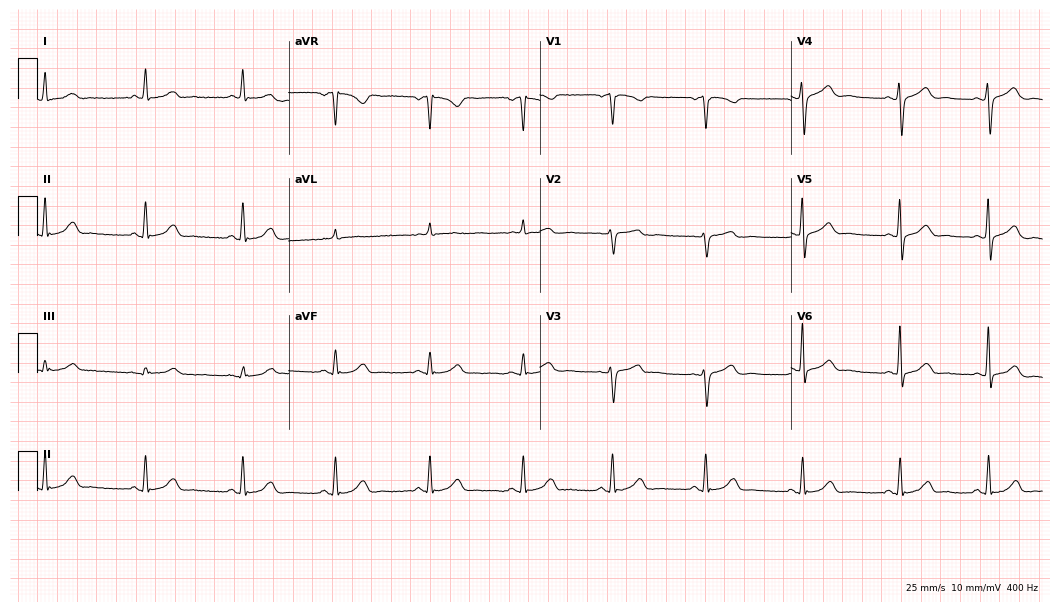
Resting 12-lead electrocardiogram (10.2-second recording at 400 Hz). Patient: a 59-year-old female. Read as a normal ECG.